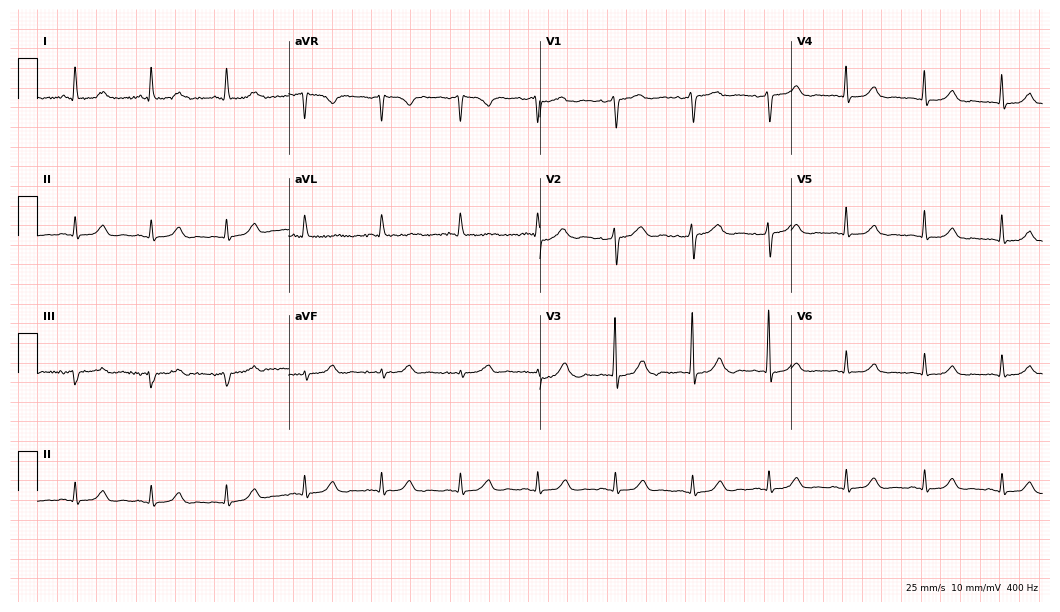
ECG (10.2-second recording at 400 Hz) — a 43-year-old female. Screened for six findings — first-degree AV block, right bundle branch block (RBBB), left bundle branch block (LBBB), sinus bradycardia, atrial fibrillation (AF), sinus tachycardia — none is recorded.